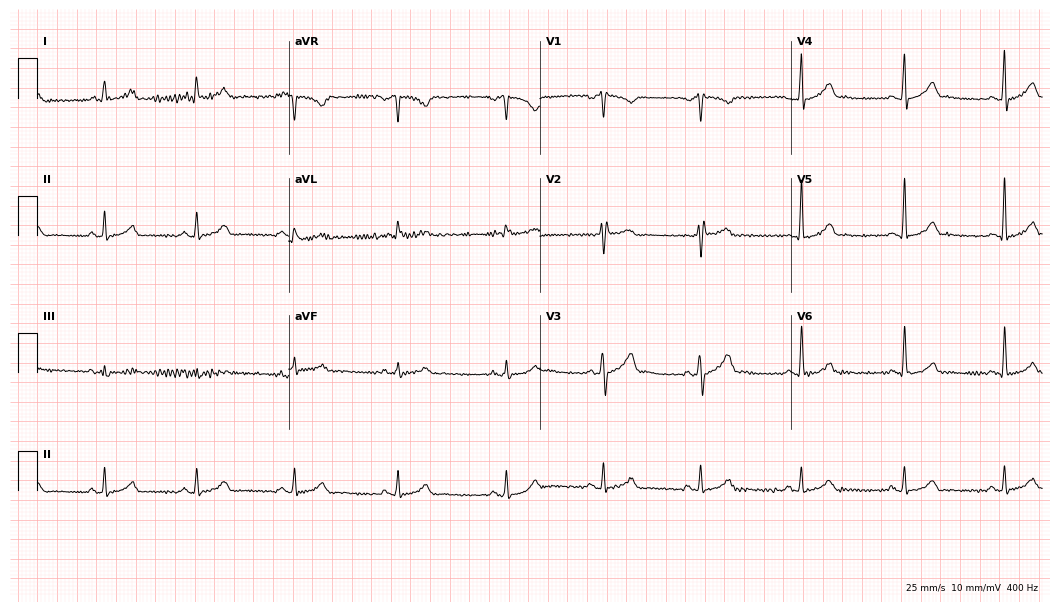
Electrocardiogram, a 33-year-old male. Of the six screened findings (first-degree AV block, right bundle branch block, left bundle branch block, sinus bradycardia, atrial fibrillation, sinus tachycardia), none is recorded. Other findings, if any, are not listed.